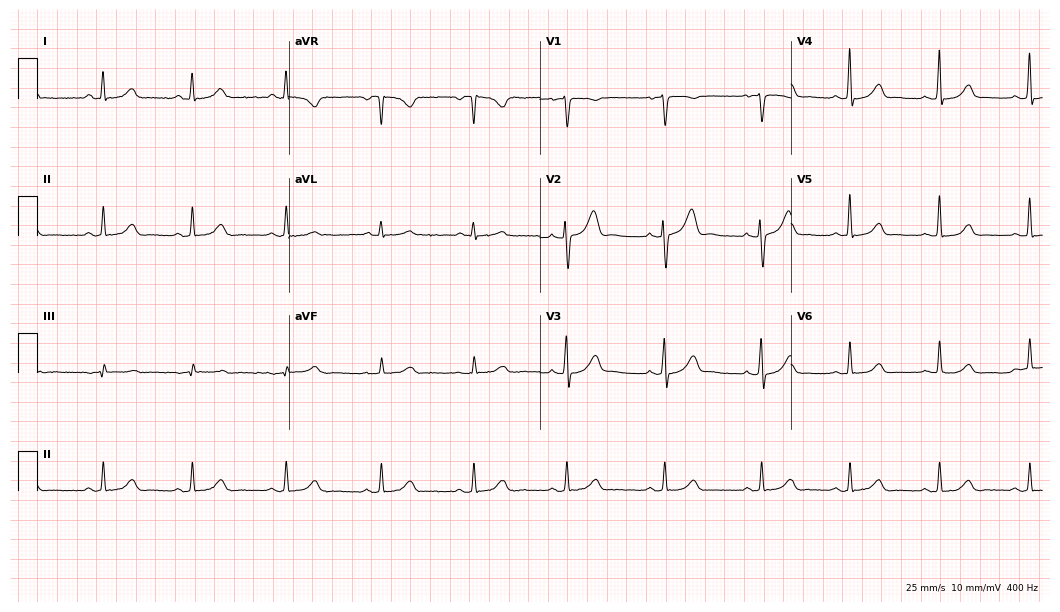
ECG (10.2-second recording at 400 Hz) — a female patient, 52 years old. Screened for six findings — first-degree AV block, right bundle branch block, left bundle branch block, sinus bradycardia, atrial fibrillation, sinus tachycardia — none is recorded. Only these six findings were labelled.